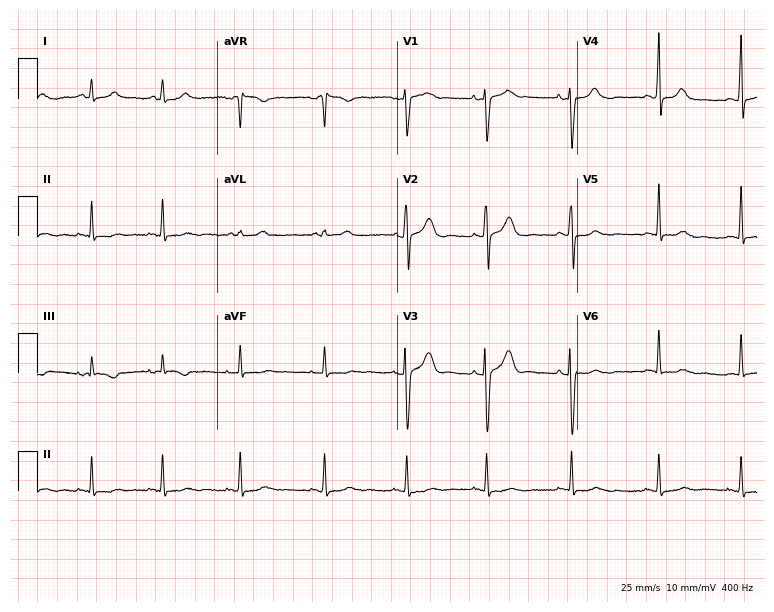
12-lead ECG from a female patient, 37 years old. Recorded interpretation: within normal limits.